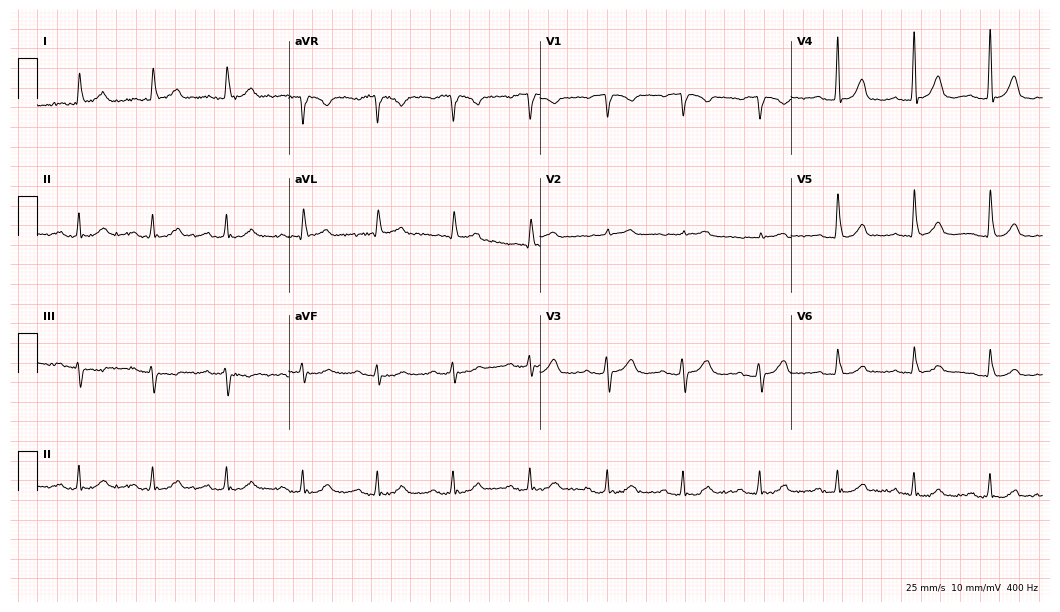
12-lead ECG from a 68-year-old female. Shows first-degree AV block.